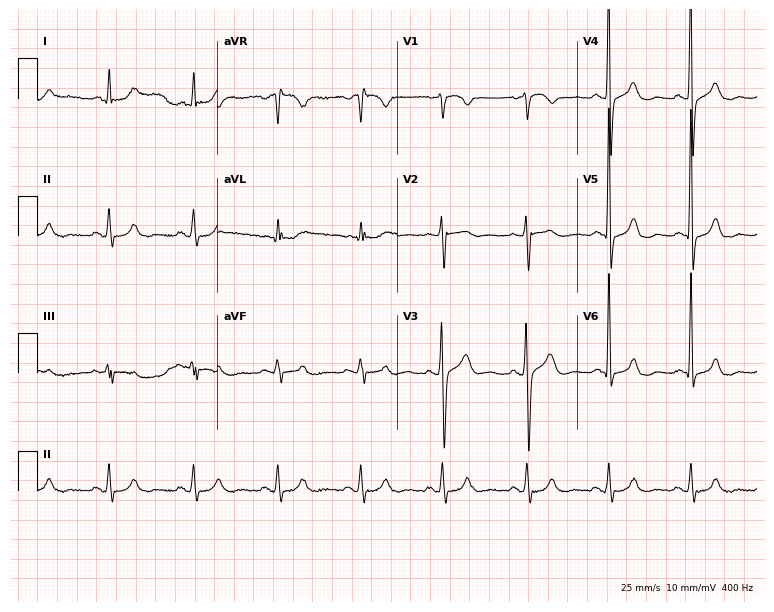
Standard 12-lead ECG recorded from a 41-year-old male (7.3-second recording at 400 Hz). Read as a normal ECG.